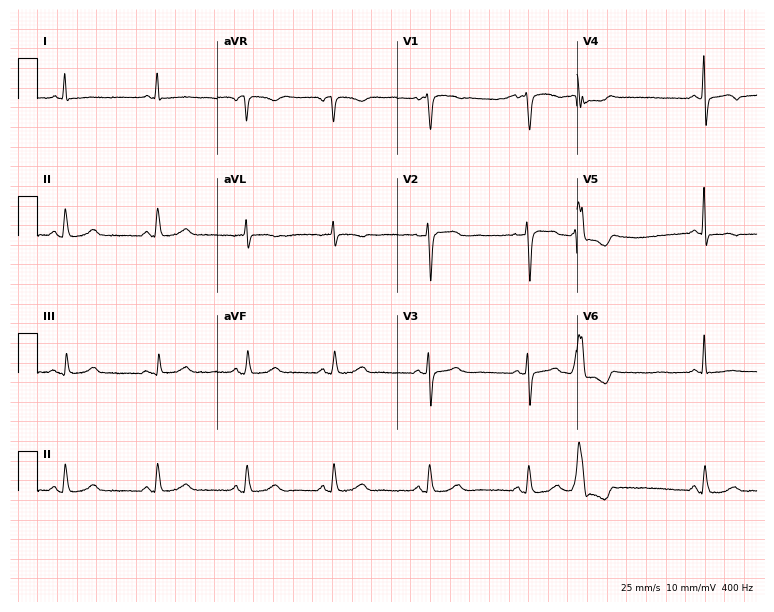
12-lead ECG (7.3-second recording at 400 Hz) from a woman, 63 years old. Screened for six findings — first-degree AV block, right bundle branch block, left bundle branch block, sinus bradycardia, atrial fibrillation, sinus tachycardia — none is recorded. Findings outside these six are not listed.